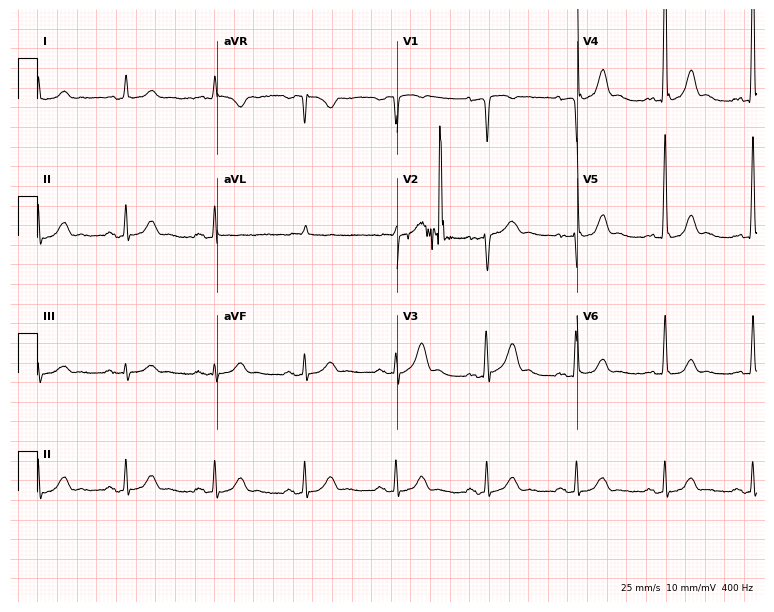
ECG — a man, 67 years old. Labelled as a normal ECG.